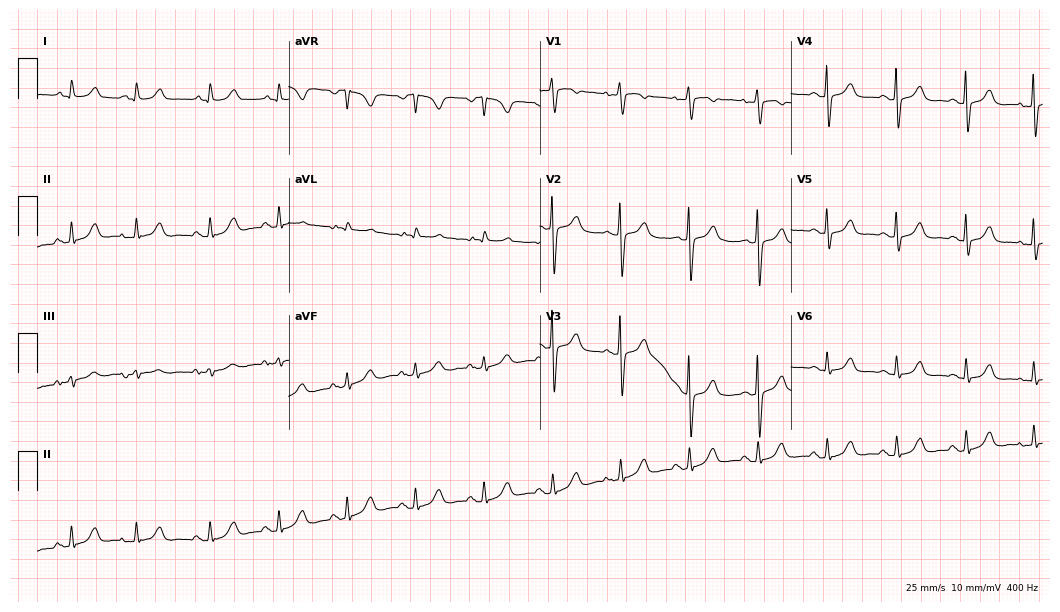
12-lead ECG from a female, 71 years old. Recorded interpretation: within normal limits.